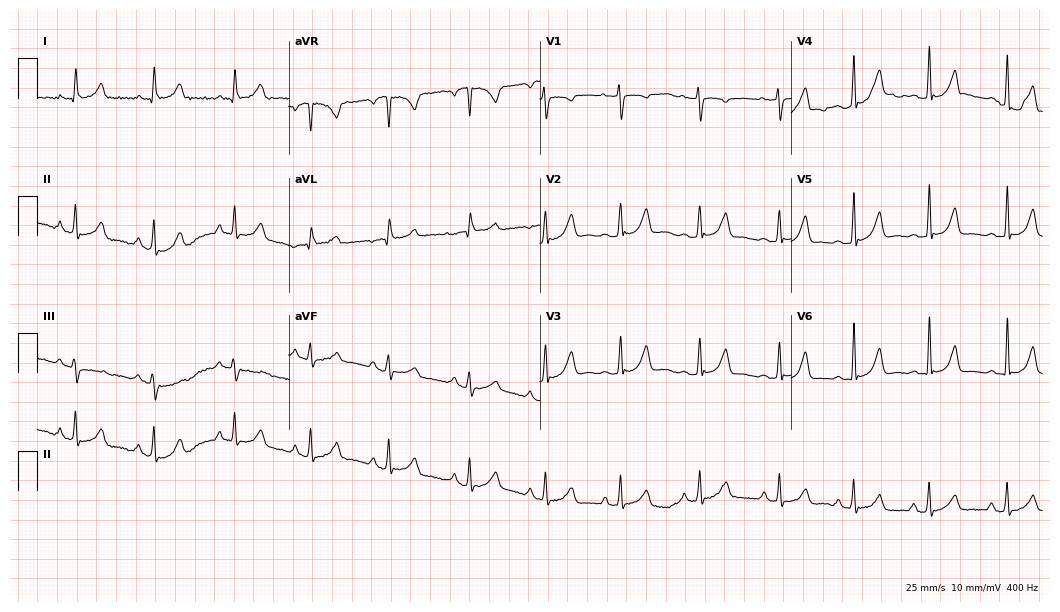
ECG — a 25-year-old female patient. Labelled as a normal ECG.